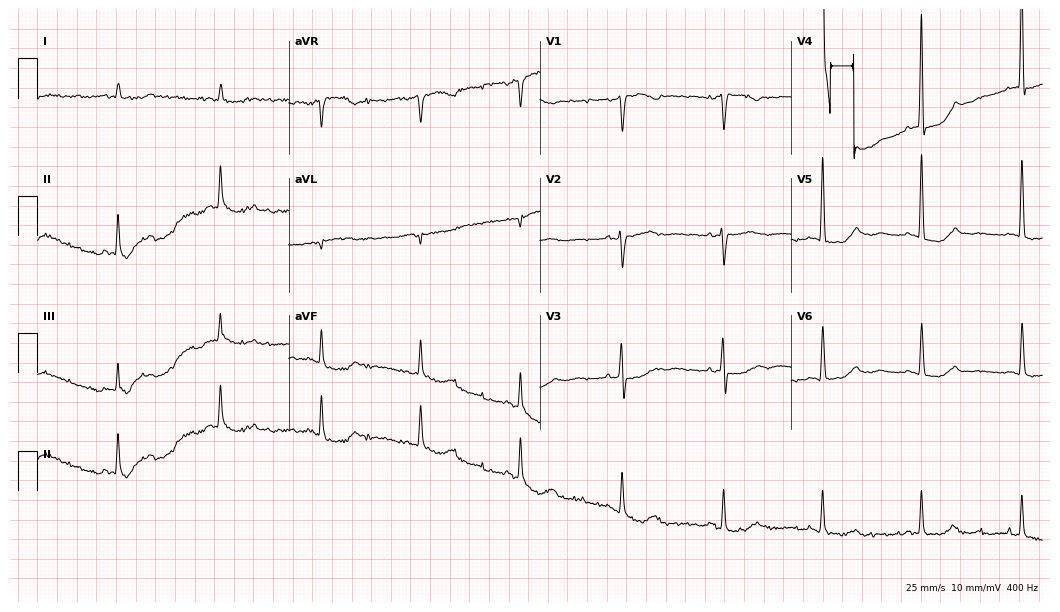
ECG — a 77-year-old female. Screened for six findings — first-degree AV block, right bundle branch block (RBBB), left bundle branch block (LBBB), sinus bradycardia, atrial fibrillation (AF), sinus tachycardia — none is recorded.